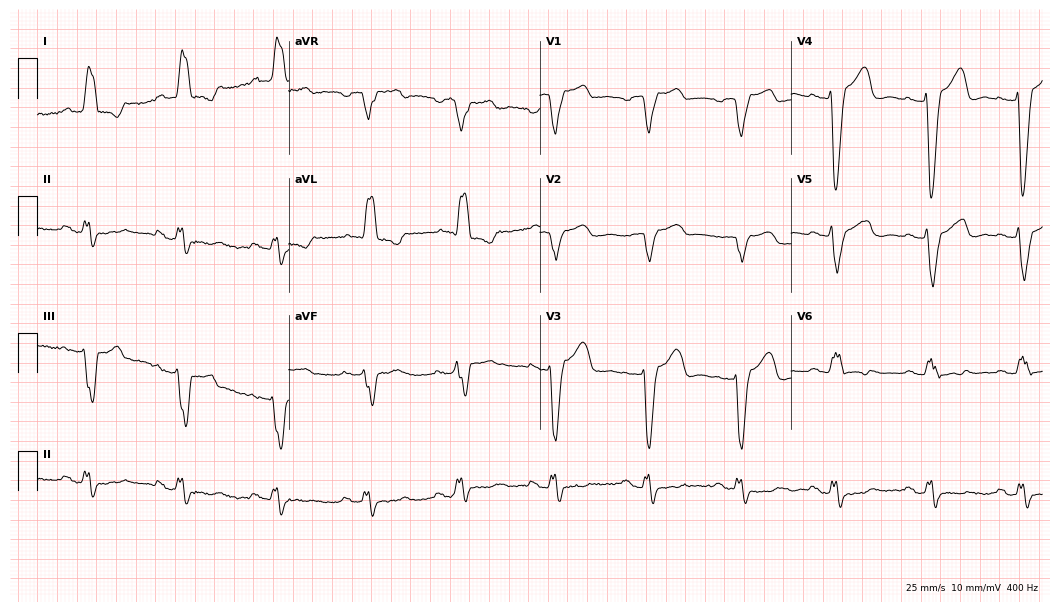
ECG — a woman, 66 years old. Findings include first-degree AV block, left bundle branch block.